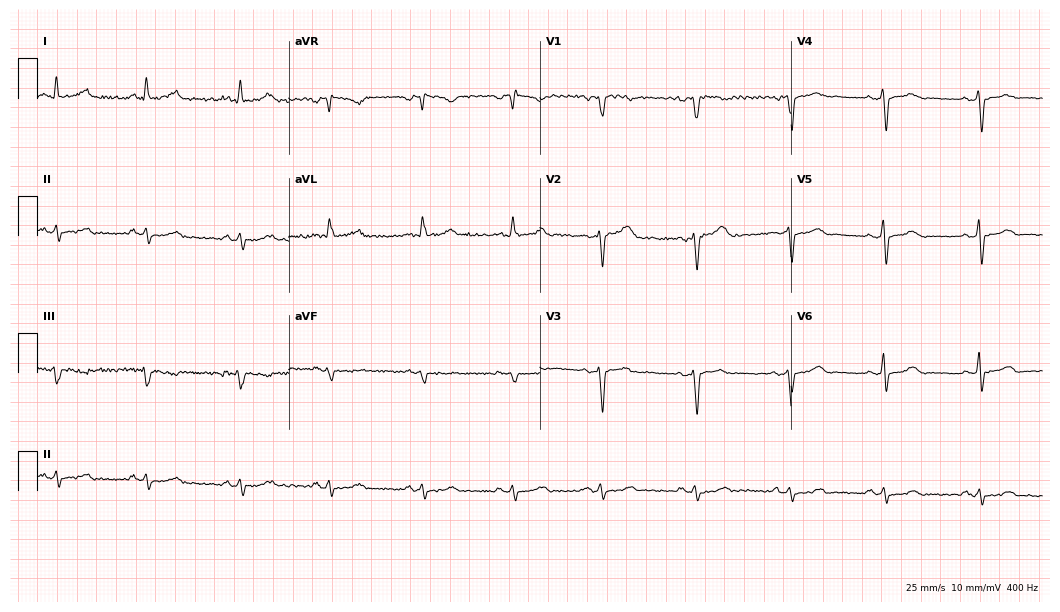
Standard 12-lead ECG recorded from a female, 52 years old. None of these six findings is recorded: first-degree AV block, right bundle branch block, left bundle branch block, sinus bradycardia, atrial fibrillation, sinus tachycardia.